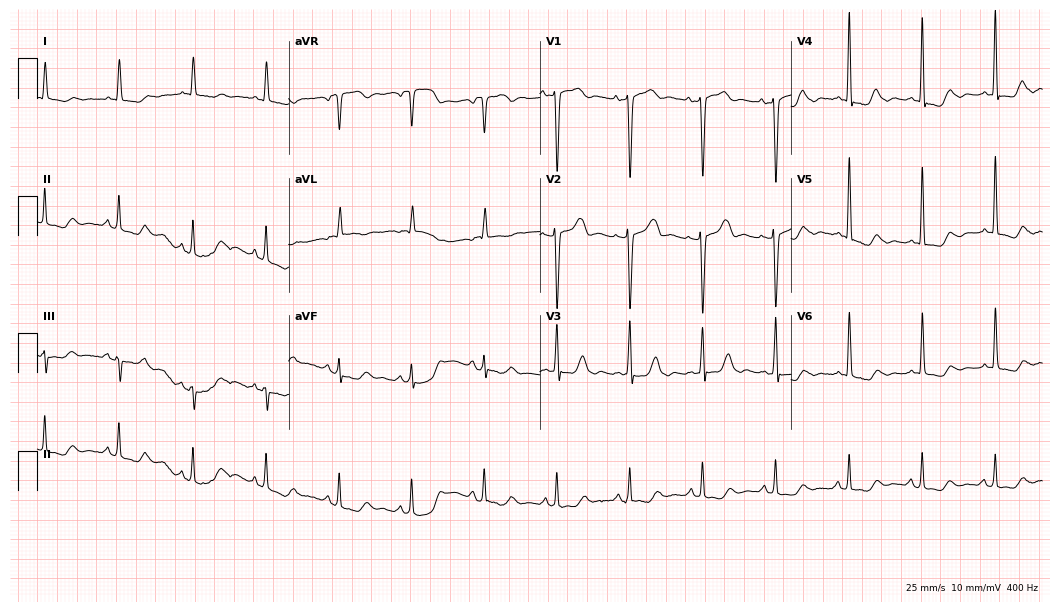
12-lead ECG from a woman, 85 years old. No first-degree AV block, right bundle branch block, left bundle branch block, sinus bradycardia, atrial fibrillation or sinus tachycardia recorded for this tracing. Findings outside these six are not listed.